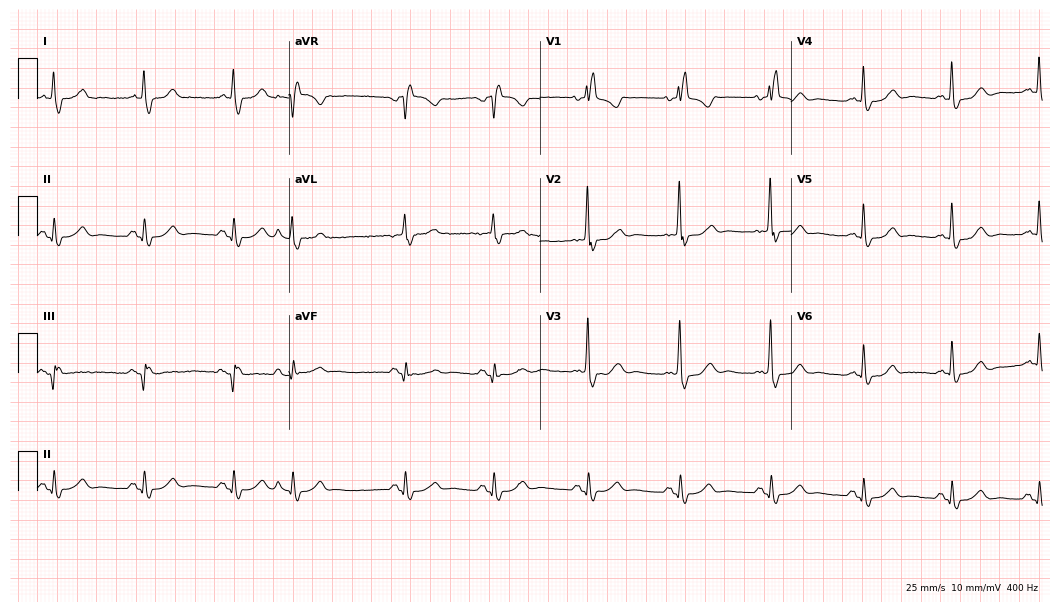
12-lead ECG from a 58-year-old female patient. No first-degree AV block, right bundle branch block, left bundle branch block, sinus bradycardia, atrial fibrillation or sinus tachycardia recorded for this tracing. Other findings, if any, are not listed.